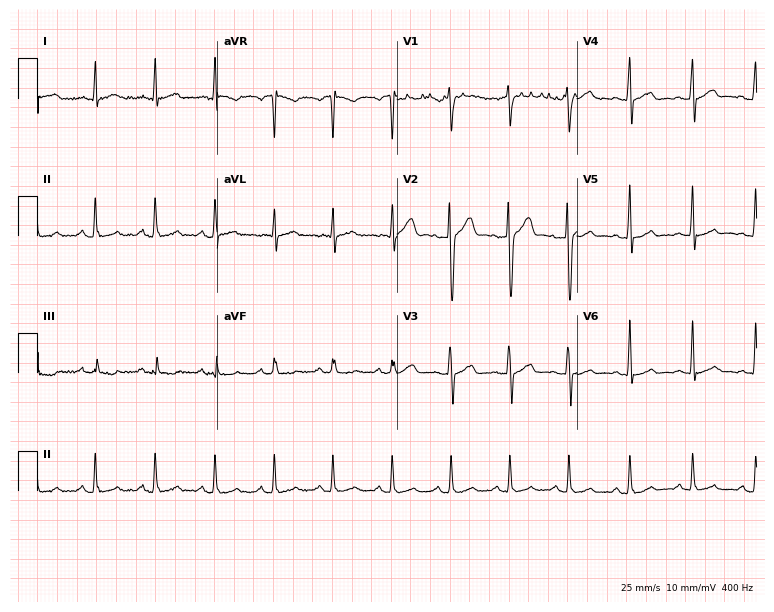
Resting 12-lead electrocardiogram (7.3-second recording at 400 Hz). Patient: a male, 30 years old. Read as a normal ECG.